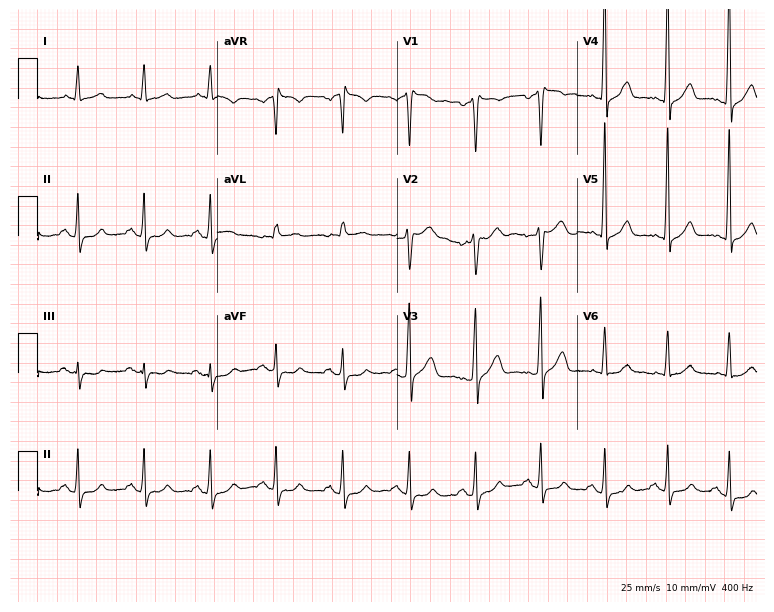
12-lead ECG from a man, 57 years old (7.3-second recording at 400 Hz). No first-degree AV block, right bundle branch block, left bundle branch block, sinus bradycardia, atrial fibrillation or sinus tachycardia recorded for this tracing. Findings outside these six are not listed.